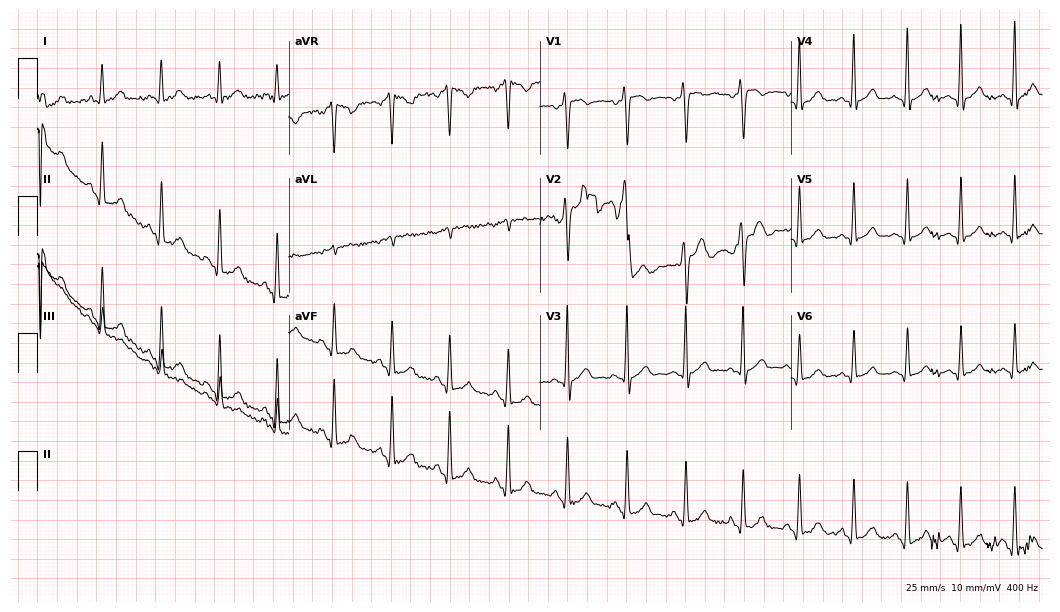
Standard 12-lead ECG recorded from a male, 19 years old. None of these six findings is recorded: first-degree AV block, right bundle branch block, left bundle branch block, sinus bradycardia, atrial fibrillation, sinus tachycardia. Only these six findings were labelled.